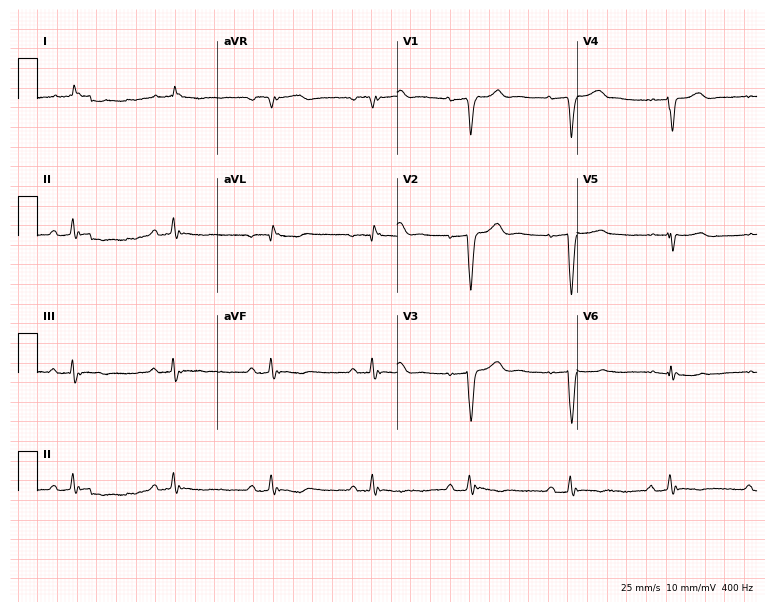
Electrocardiogram, a 58-year-old man. Of the six screened findings (first-degree AV block, right bundle branch block, left bundle branch block, sinus bradycardia, atrial fibrillation, sinus tachycardia), none is recorded. Other findings, if any, are not listed.